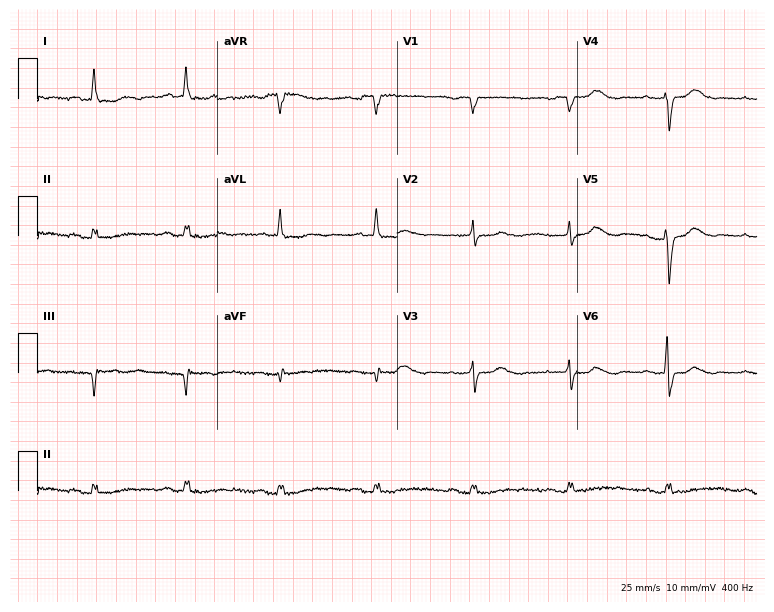
ECG (7.3-second recording at 400 Hz) — a 79-year-old woman. Screened for six findings — first-degree AV block, right bundle branch block, left bundle branch block, sinus bradycardia, atrial fibrillation, sinus tachycardia — none is recorded.